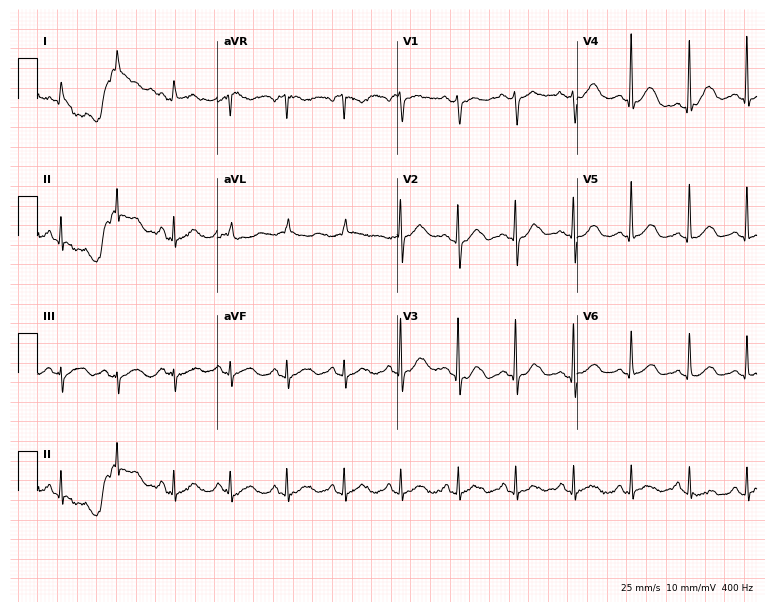
12-lead ECG from a female, 79 years old (7.3-second recording at 400 Hz). Shows sinus tachycardia (a sinus rate of 100 beats per minute or more).